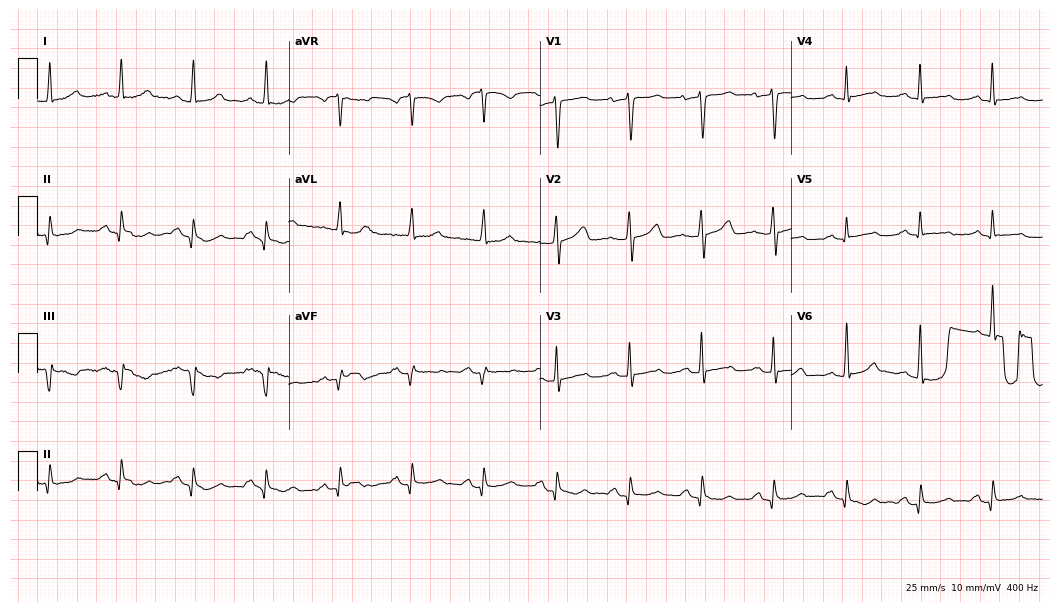
Standard 12-lead ECG recorded from a female patient, 74 years old. None of these six findings is recorded: first-degree AV block, right bundle branch block (RBBB), left bundle branch block (LBBB), sinus bradycardia, atrial fibrillation (AF), sinus tachycardia.